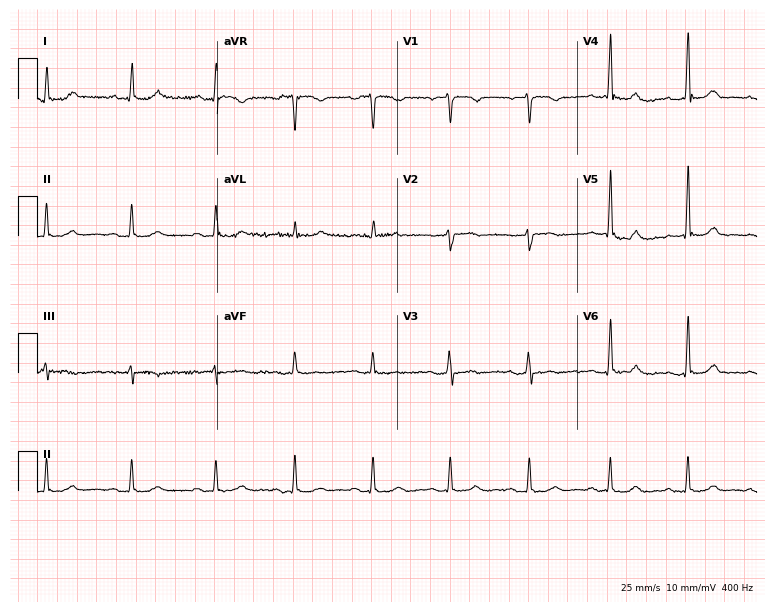
Standard 12-lead ECG recorded from a female, 55 years old. Read as a normal ECG.